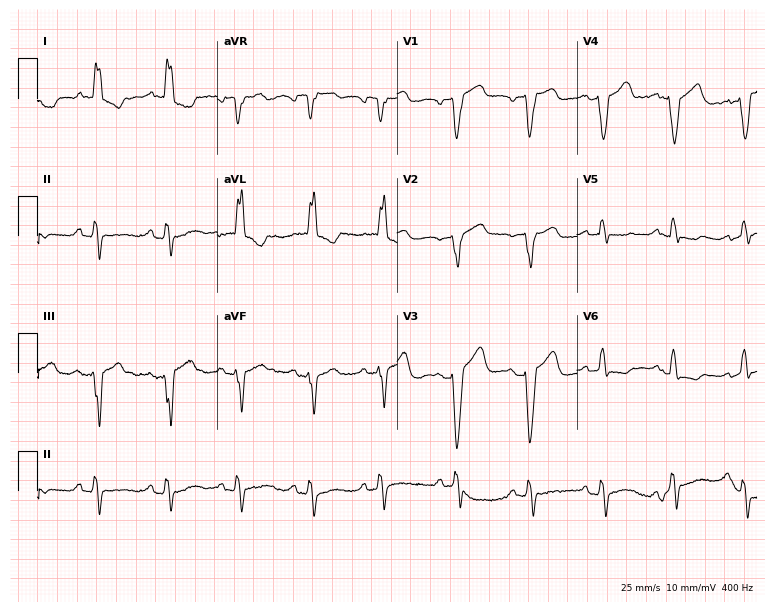
ECG — an 85-year-old woman. Findings include left bundle branch block.